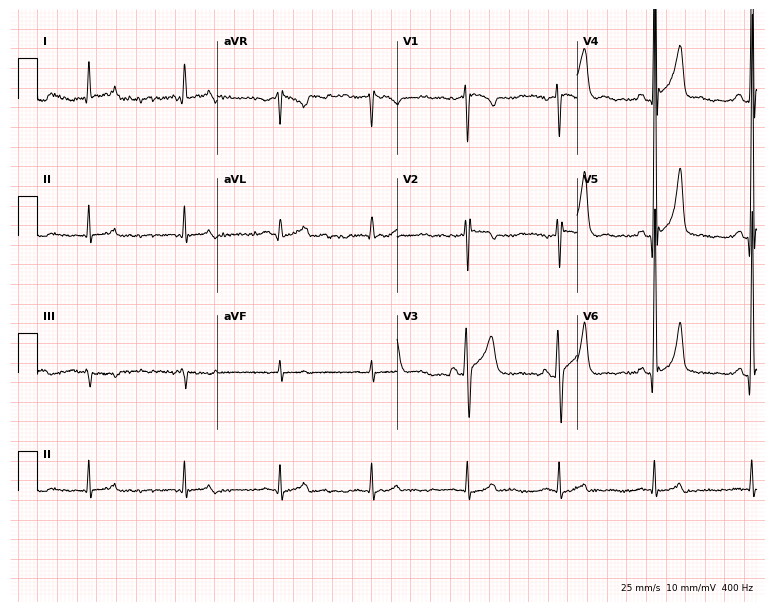
12-lead ECG from a 35-year-old male. Recorded interpretation: within normal limits.